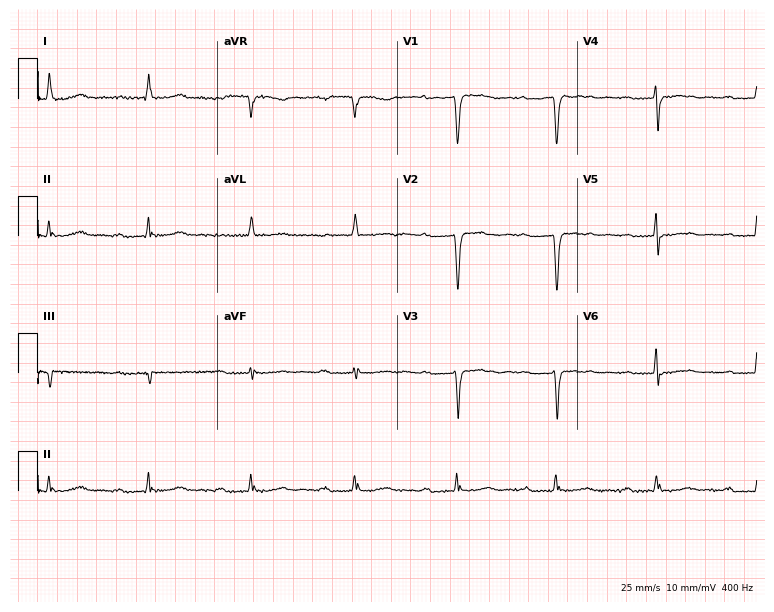
Electrocardiogram (7.3-second recording at 400 Hz), a 70-year-old female. Interpretation includes first-degree AV block.